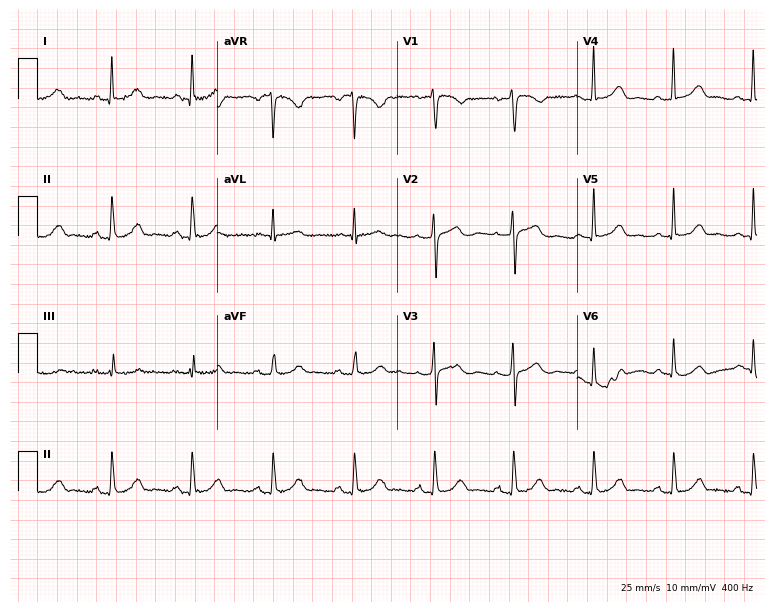
ECG (7.3-second recording at 400 Hz) — a woman, 53 years old. Screened for six findings — first-degree AV block, right bundle branch block, left bundle branch block, sinus bradycardia, atrial fibrillation, sinus tachycardia — none is recorded.